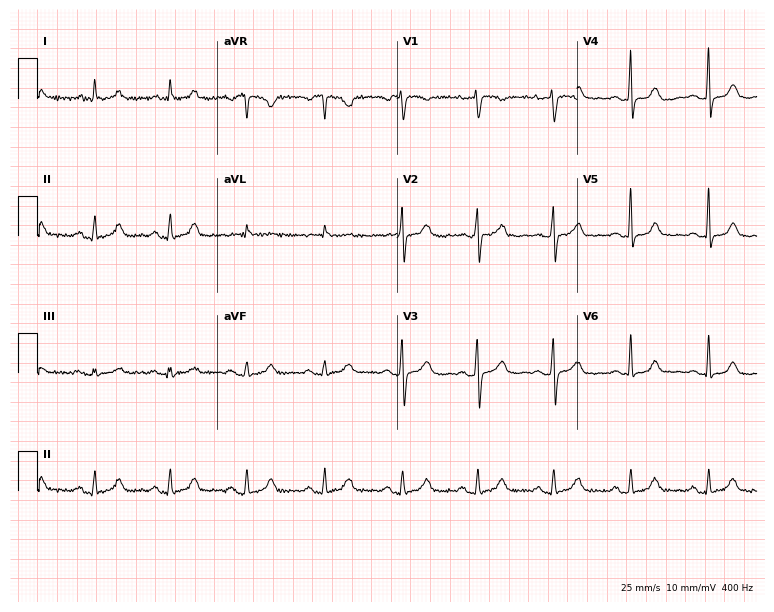
12-lead ECG from a 51-year-old woman (7.3-second recording at 400 Hz). Recorded interpretation: within normal limits.